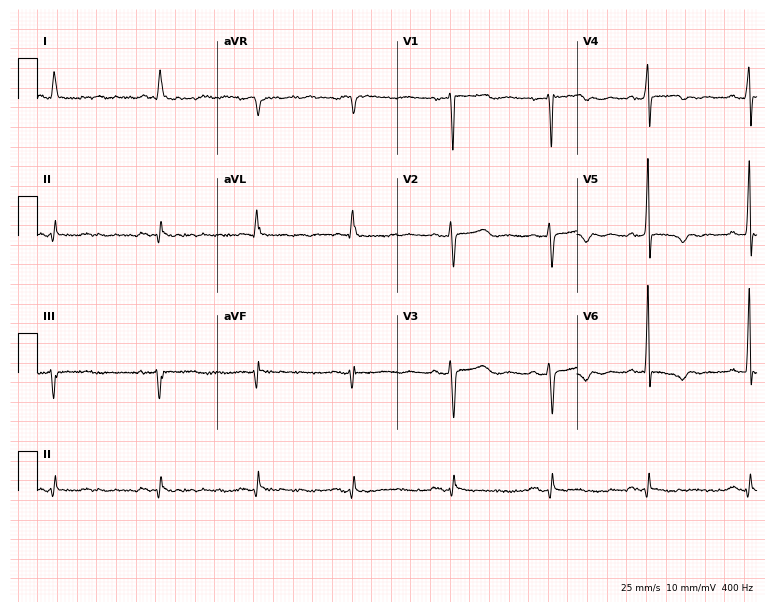
Standard 12-lead ECG recorded from a 59-year-old woman (7.3-second recording at 400 Hz). None of these six findings is recorded: first-degree AV block, right bundle branch block, left bundle branch block, sinus bradycardia, atrial fibrillation, sinus tachycardia. Other findings, if any, are not listed.